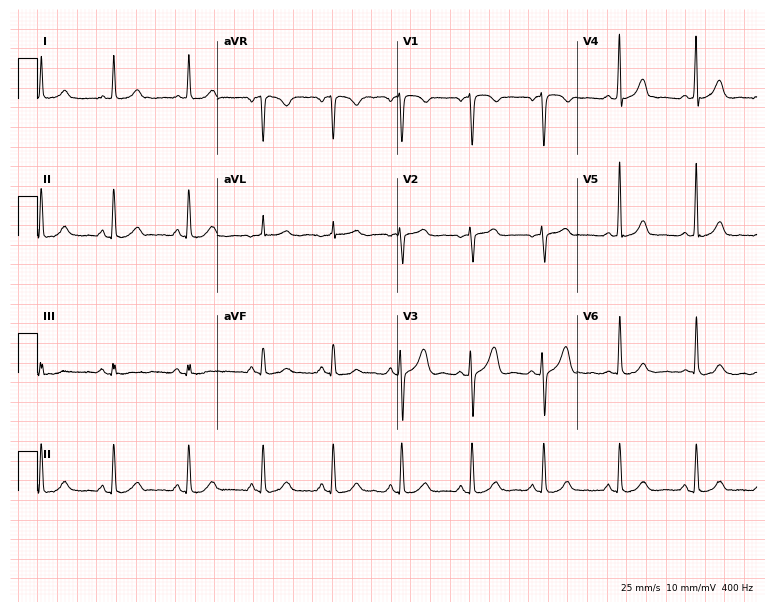
12-lead ECG from a 49-year-old female (7.3-second recording at 400 Hz). Recorded interpretation: within normal limits.